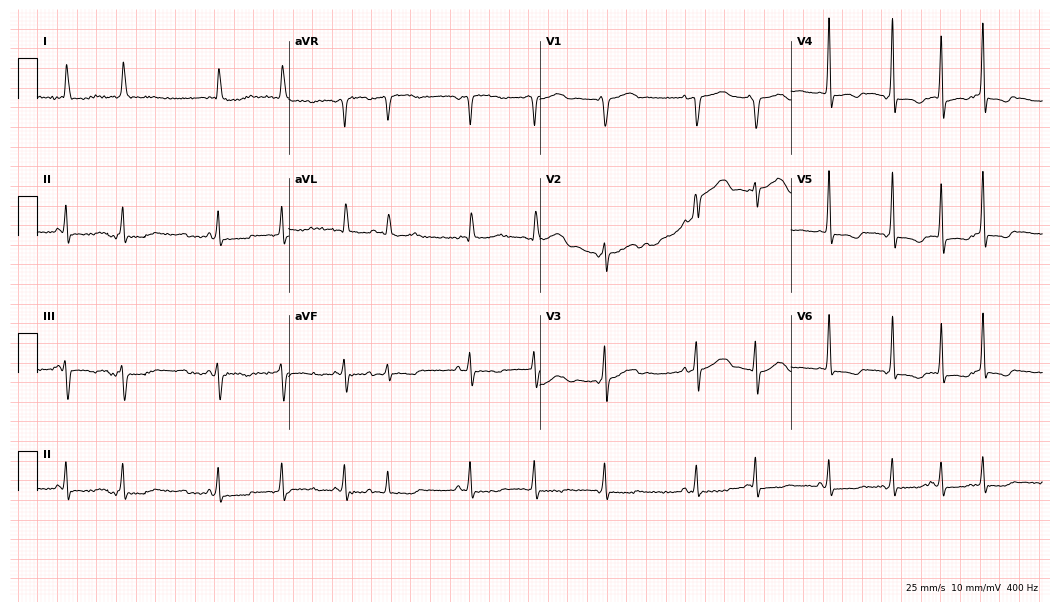
12-lead ECG from a female patient, 74 years old. No first-degree AV block, right bundle branch block, left bundle branch block, sinus bradycardia, atrial fibrillation or sinus tachycardia recorded for this tracing. Findings outside these six are not listed.